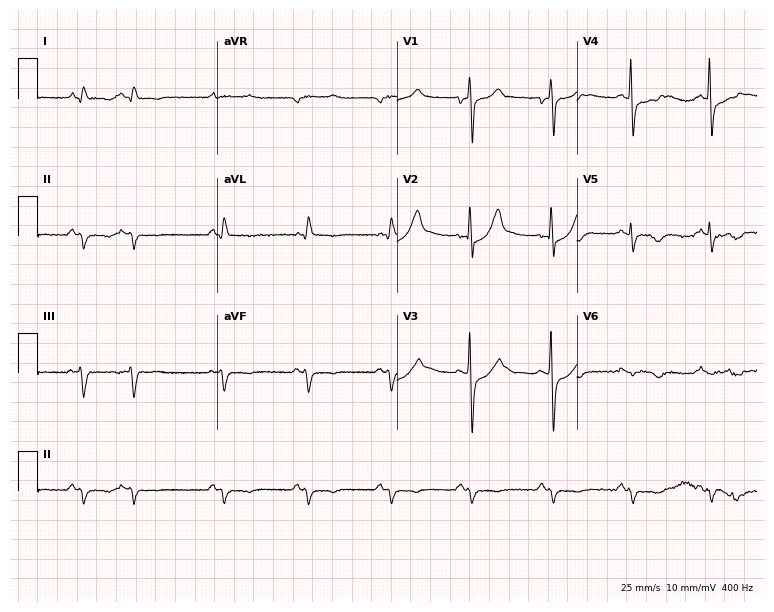
Standard 12-lead ECG recorded from an 82-year-old man. None of these six findings is recorded: first-degree AV block, right bundle branch block, left bundle branch block, sinus bradycardia, atrial fibrillation, sinus tachycardia. Findings outside these six are not listed.